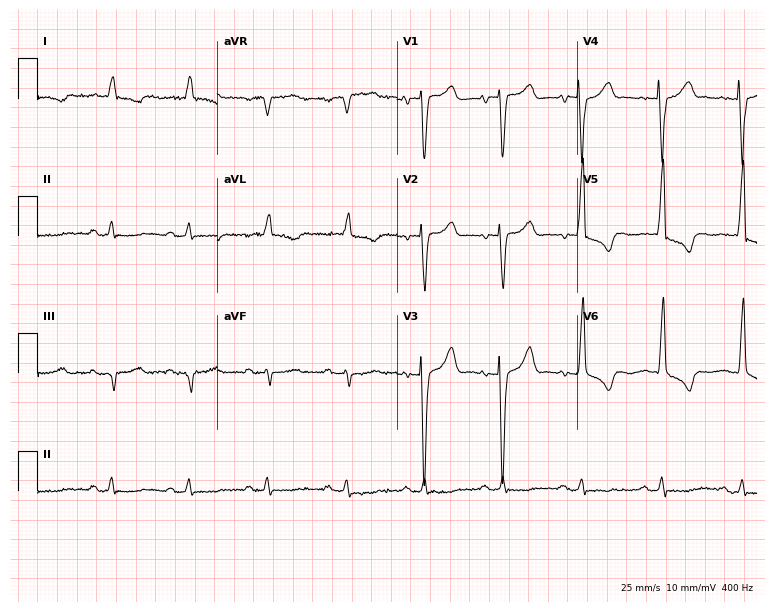
Standard 12-lead ECG recorded from a man, 74 years old (7.3-second recording at 400 Hz). None of these six findings is recorded: first-degree AV block, right bundle branch block, left bundle branch block, sinus bradycardia, atrial fibrillation, sinus tachycardia. Findings outside these six are not listed.